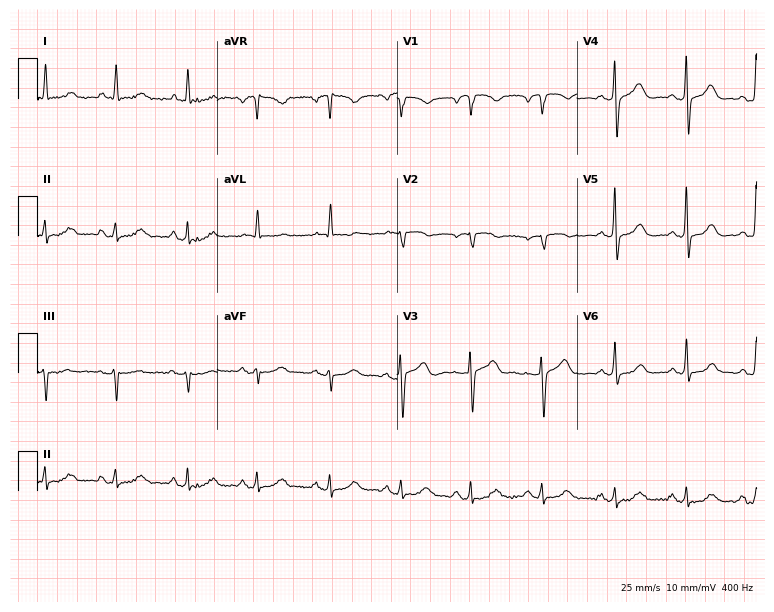
ECG — a woman, 76 years old. Screened for six findings — first-degree AV block, right bundle branch block, left bundle branch block, sinus bradycardia, atrial fibrillation, sinus tachycardia — none is recorded. Other findings, if any, are not listed.